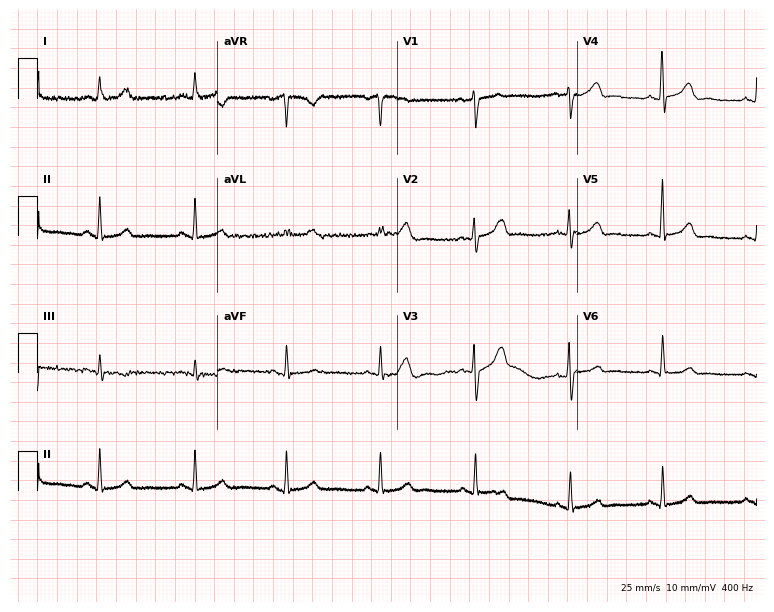
Resting 12-lead electrocardiogram (7.3-second recording at 400 Hz). Patient: a female, 37 years old. None of these six findings is recorded: first-degree AV block, right bundle branch block, left bundle branch block, sinus bradycardia, atrial fibrillation, sinus tachycardia. Findings outside these six are not listed.